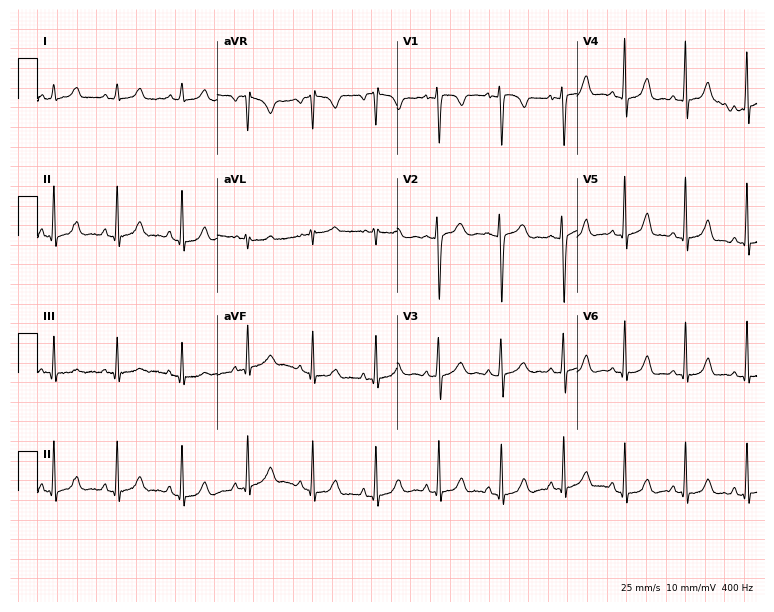
Electrocardiogram (7.3-second recording at 400 Hz), a 23-year-old female patient. Of the six screened findings (first-degree AV block, right bundle branch block, left bundle branch block, sinus bradycardia, atrial fibrillation, sinus tachycardia), none is recorded. Only these six findings were labelled.